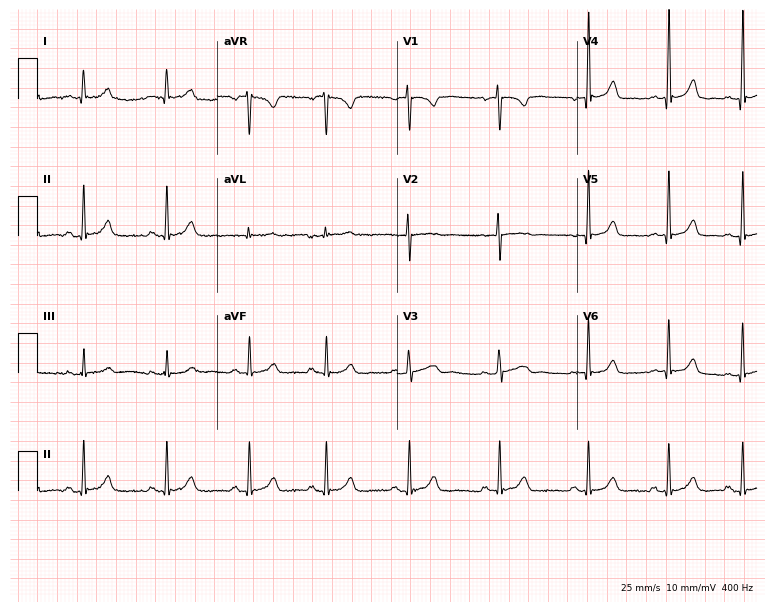
Standard 12-lead ECG recorded from a woman, 30 years old (7.3-second recording at 400 Hz). Read as a normal ECG.